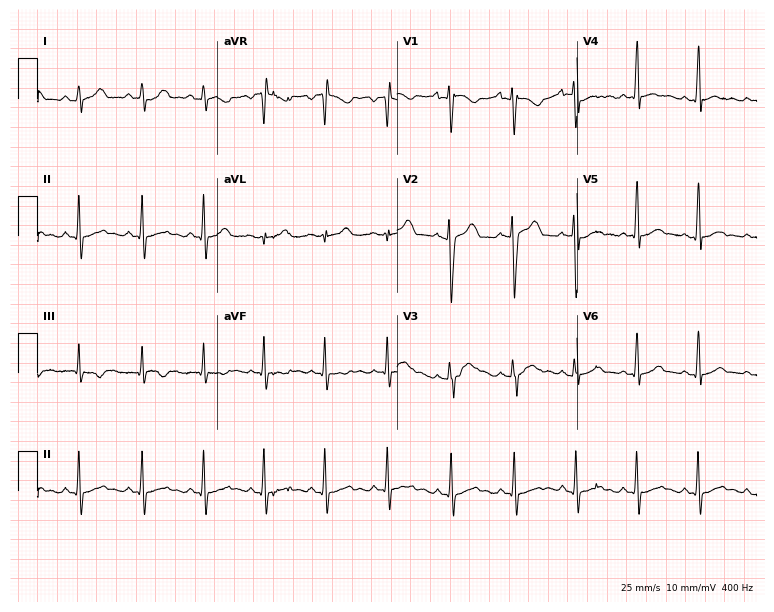
Electrocardiogram (7.3-second recording at 400 Hz), a female, 17 years old. Overall reading on record: normal ECG.